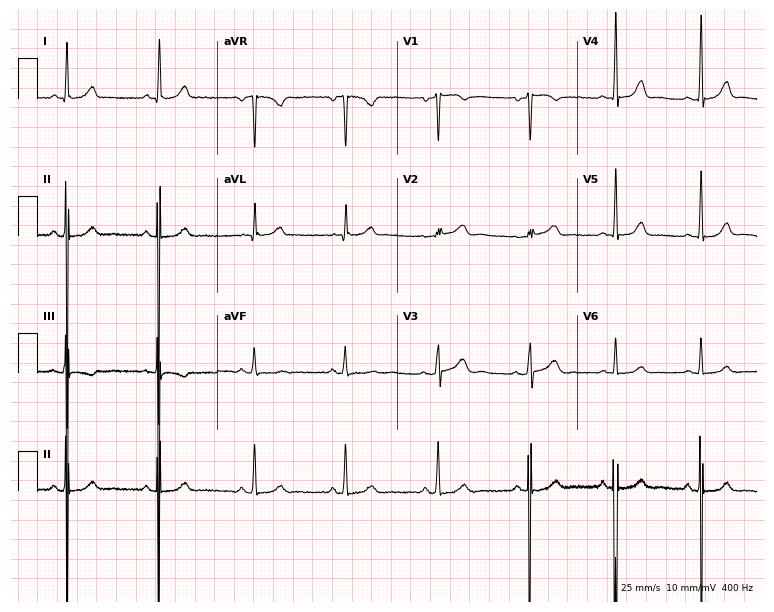
12-lead ECG (7.3-second recording at 400 Hz) from a female, 39 years old. Screened for six findings — first-degree AV block, right bundle branch block, left bundle branch block, sinus bradycardia, atrial fibrillation, sinus tachycardia — none is recorded. Findings outside these six are not listed.